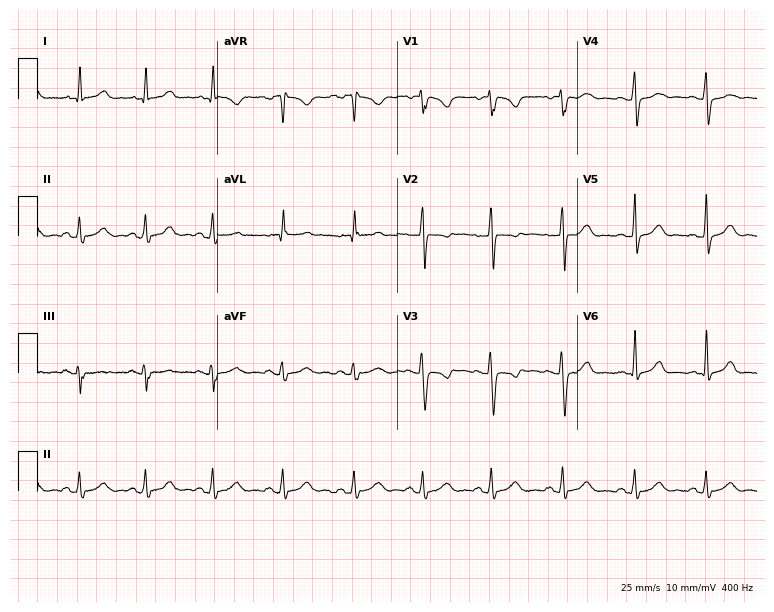
12-lead ECG (7.3-second recording at 400 Hz) from a 26-year-old female. Labelled as a normal ECG.